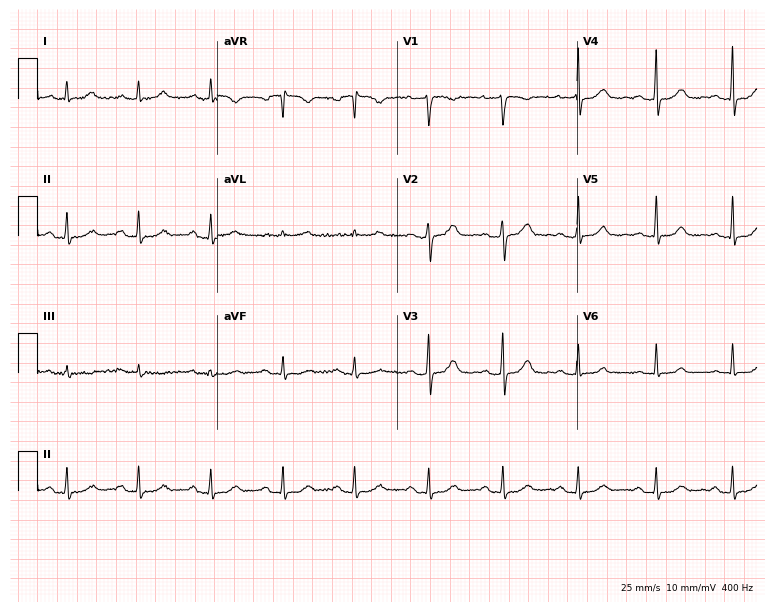
ECG — a 47-year-old woman. Findings include first-degree AV block.